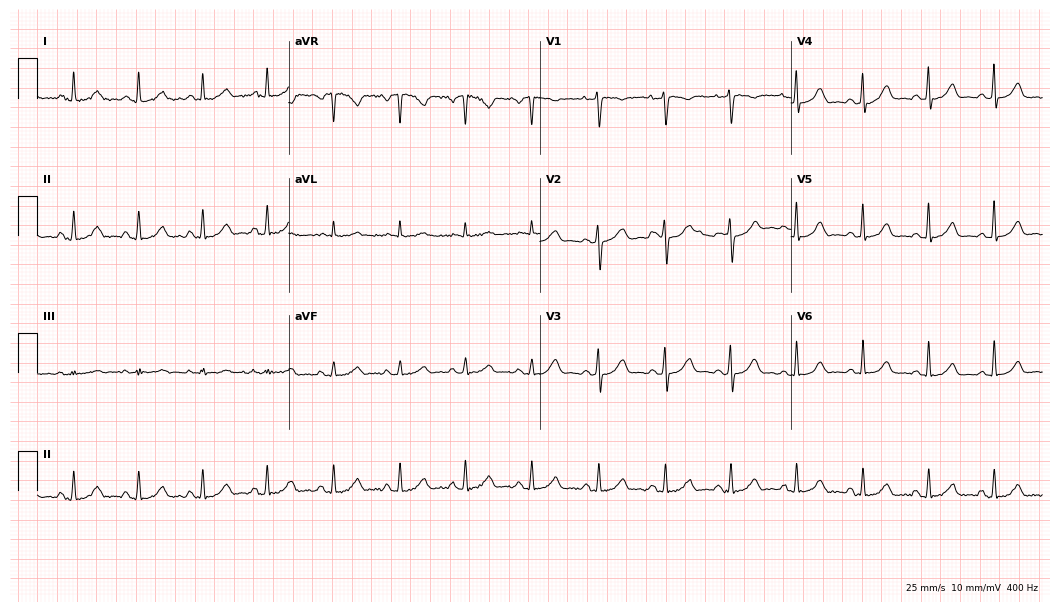
Electrocardiogram, a 38-year-old female. Of the six screened findings (first-degree AV block, right bundle branch block, left bundle branch block, sinus bradycardia, atrial fibrillation, sinus tachycardia), none is recorded.